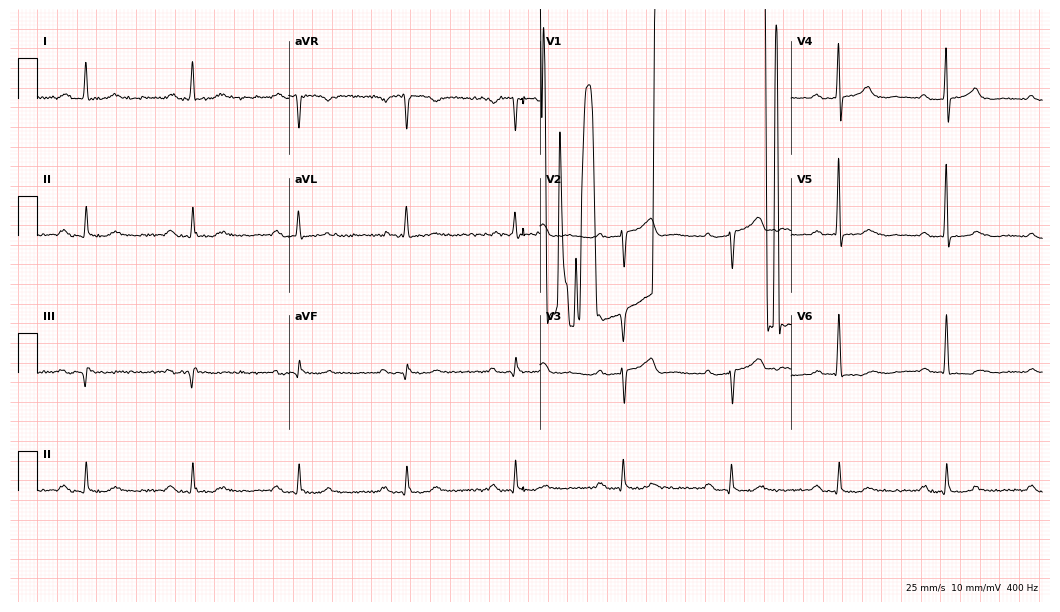
Resting 12-lead electrocardiogram (10.2-second recording at 400 Hz). Patient: a female, 65 years old. None of these six findings is recorded: first-degree AV block, right bundle branch block, left bundle branch block, sinus bradycardia, atrial fibrillation, sinus tachycardia. Other findings, if any, are not listed.